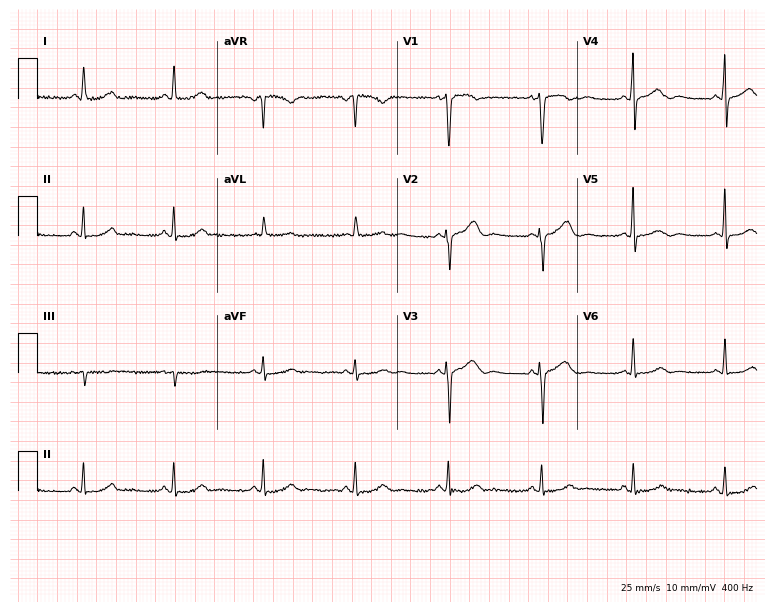
Resting 12-lead electrocardiogram. Patient: a female, 50 years old. None of these six findings is recorded: first-degree AV block, right bundle branch block, left bundle branch block, sinus bradycardia, atrial fibrillation, sinus tachycardia.